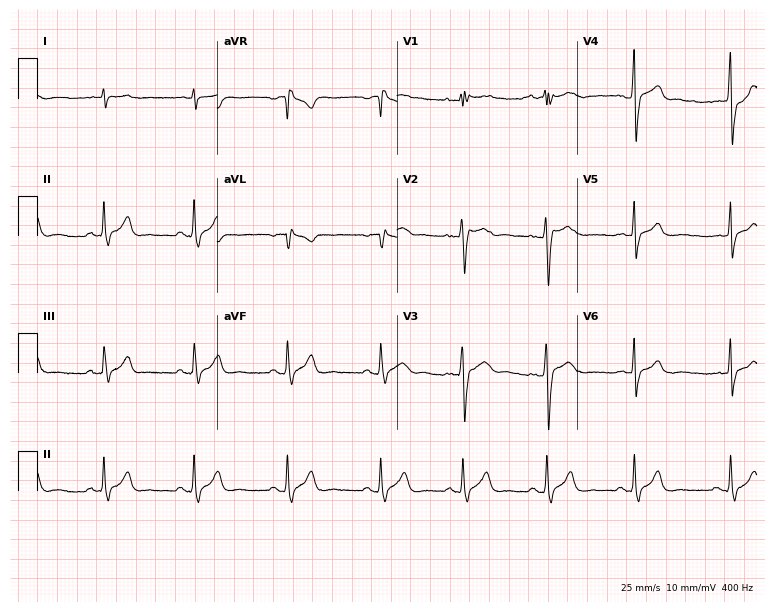
Resting 12-lead electrocardiogram (7.3-second recording at 400 Hz). Patient: a man, 23 years old. None of these six findings is recorded: first-degree AV block, right bundle branch block (RBBB), left bundle branch block (LBBB), sinus bradycardia, atrial fibrillation (AF), sinus tachycardia. Other findings, if any, are not listed.